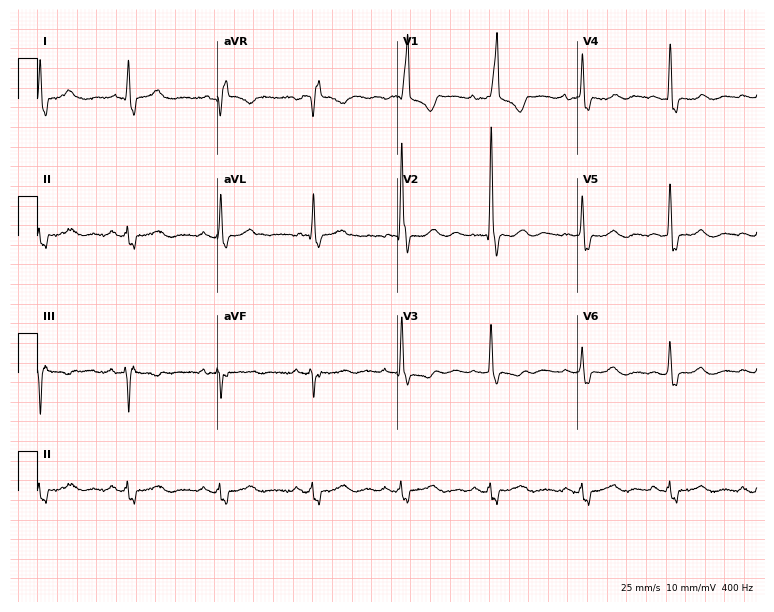
Electrocardiogram (7.3-second recording at 400 Hz), an 83-year-old female patient. Interpretation includes right bundle branch block (RBBB).